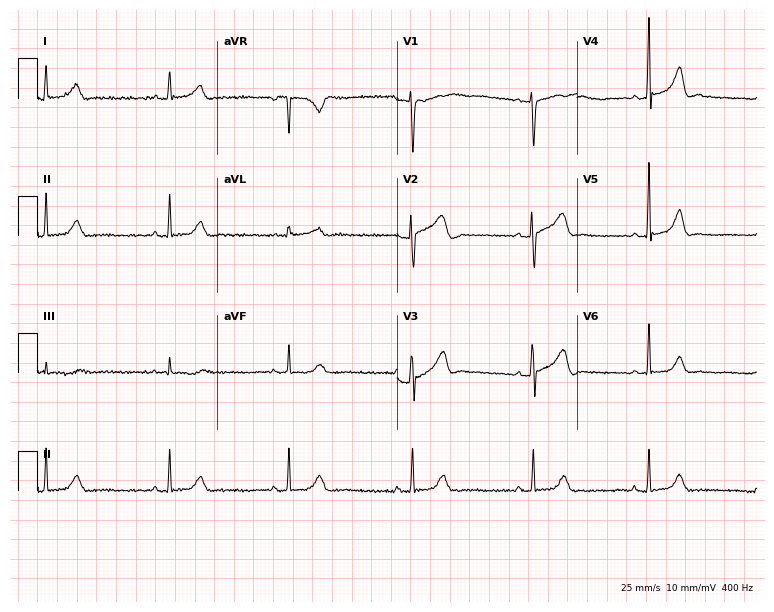
12-lead ECG (7.3-second recording at 400 Hz) from a 43-year-old female. Screened for six findings — first-degree AV block, right bundle branch block, left bundle branch block, sinus bradycardia, atrial fibrillation, sinus tachycardia — none is recorded. Only these six findings were labelled.